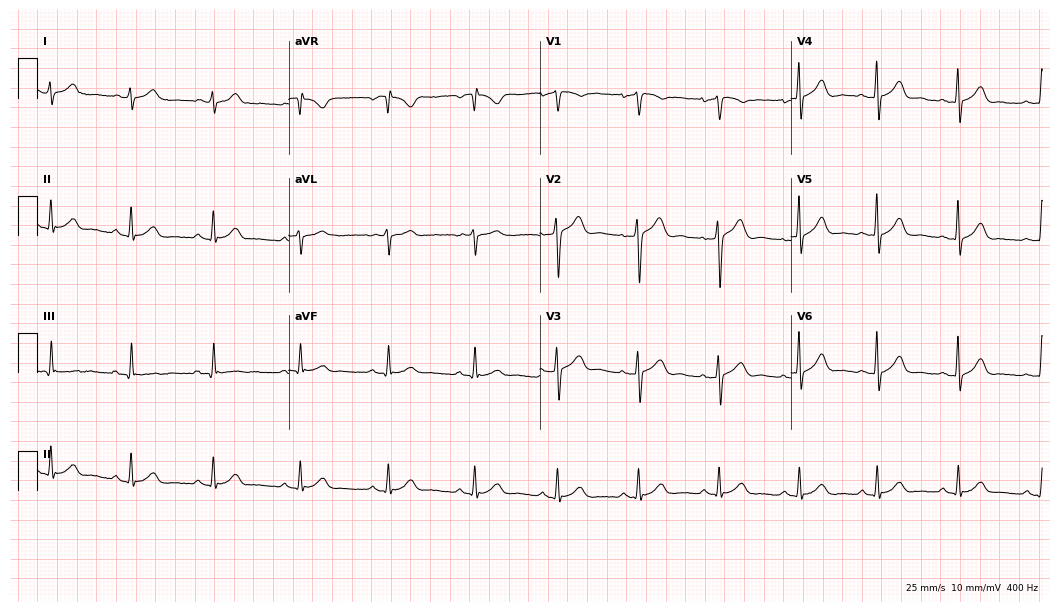
Standard 12-lead ECG recorded from a male, 39 years old. Read as a normal ECG.